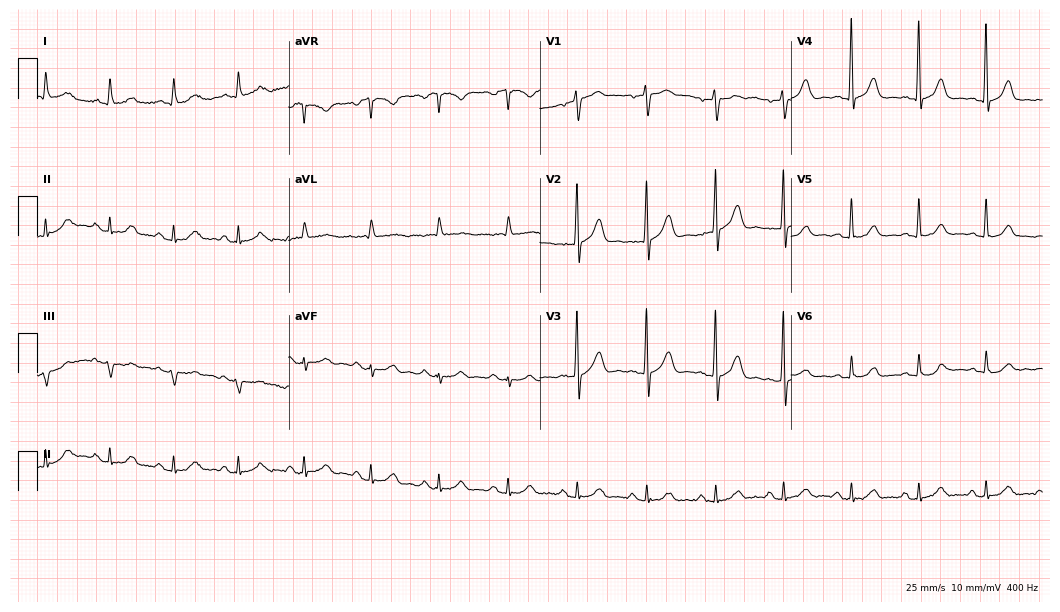
Standard 12-lead ECG recorded from a male, 82 years old (10.2-second recording at 400 Hz). Read as a normal ECG.